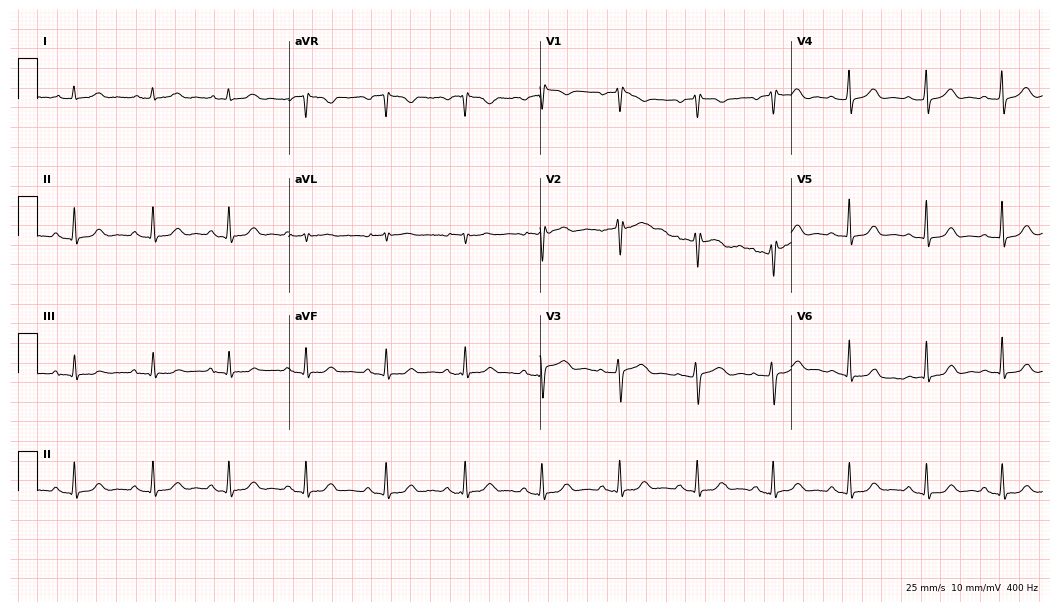
12-lead ECG (10.2-second recording at 400 Hz) from a 53-year-old woman. Screened for six findings — first-degree AV block, right bundle branch block, left bundle branch block, sinus bradycardia, atrial fibrillation, sinus tachycardia — none is recorded. Other findings, if any, are not listed.